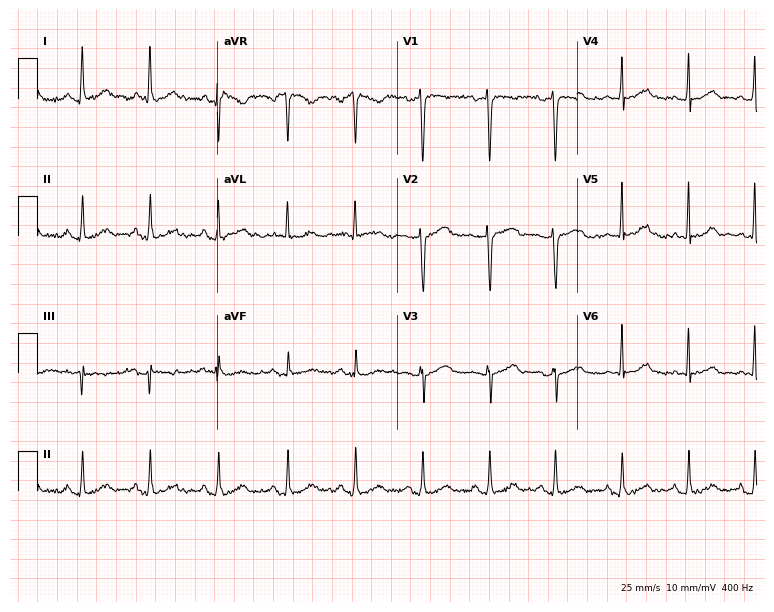
ECG — a 44-year-old female. Screened for six findings — first-degree AV block, right bundle branch block (RBBB), left bundle branch block (LBBB), sinus bradycardia, atrial fibrillation (AF), sinus tachycardia — none is recorded.